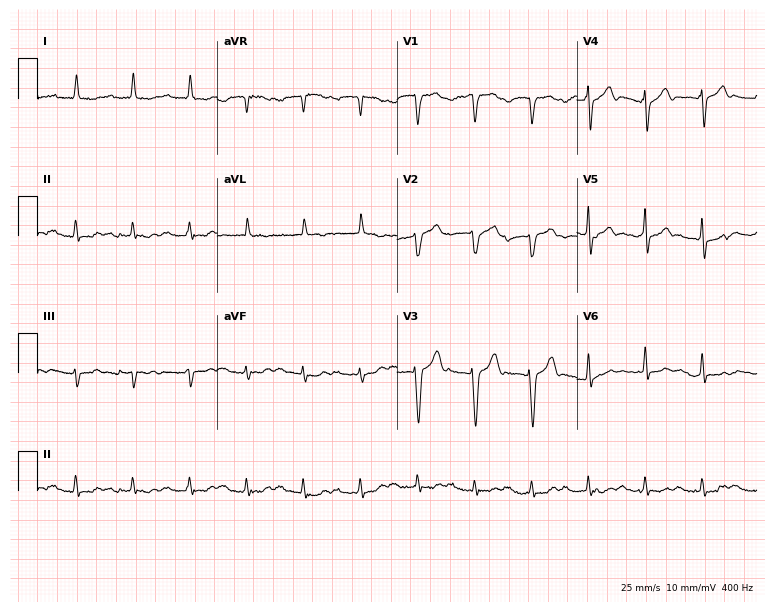
Electrocardiogram (7.3-second recording at 400 Hz), a male patient, 82 years old. Interpretation includes first-degree AV block, sinus tachycardia (a sinus rate of 100 beats per minute or more).